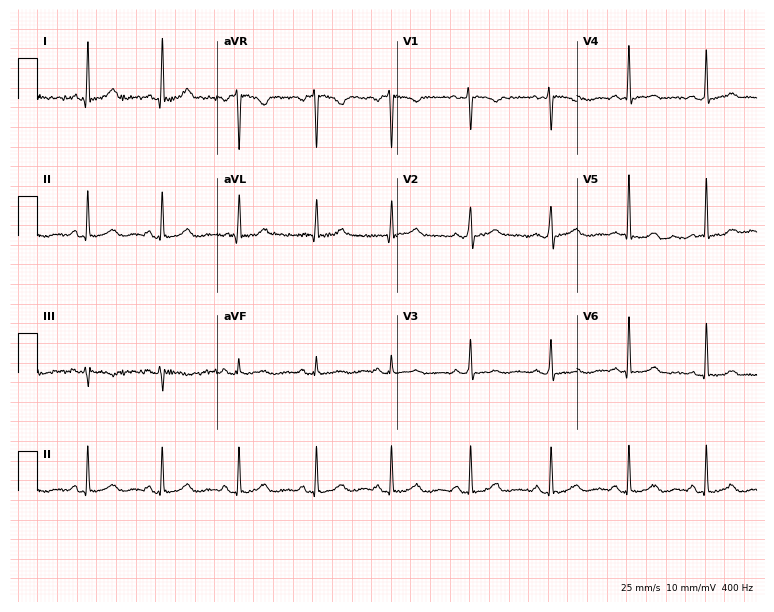
Electrocardiogram, a 38-year-old female patient. Overall reading on record: normal ECG.